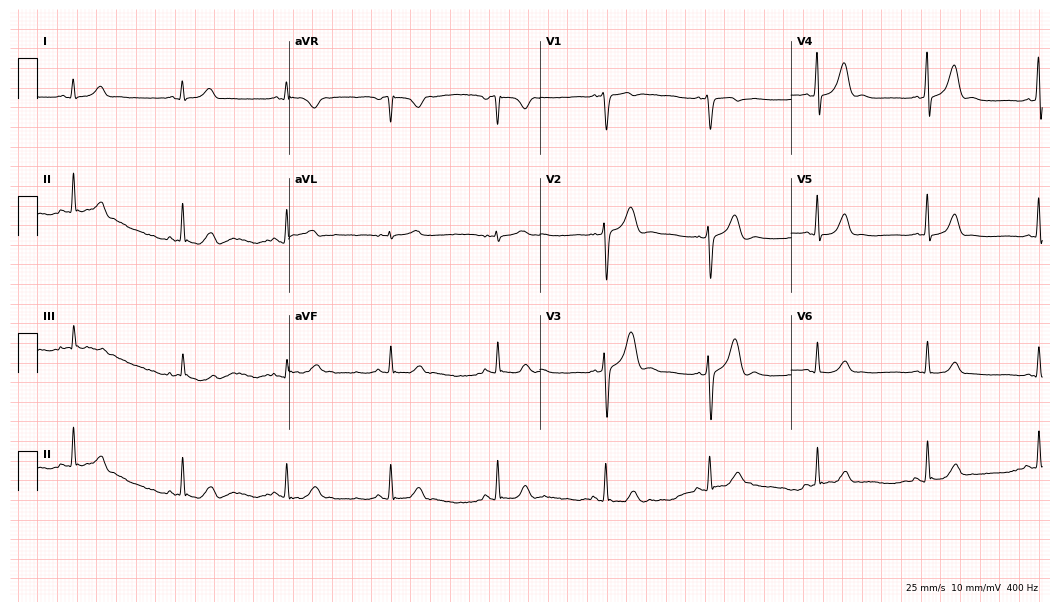
Electrocardiogram (10.2-second recording at 400 Hz), a man, 39 years old. Overall reading on record: normal ECG.